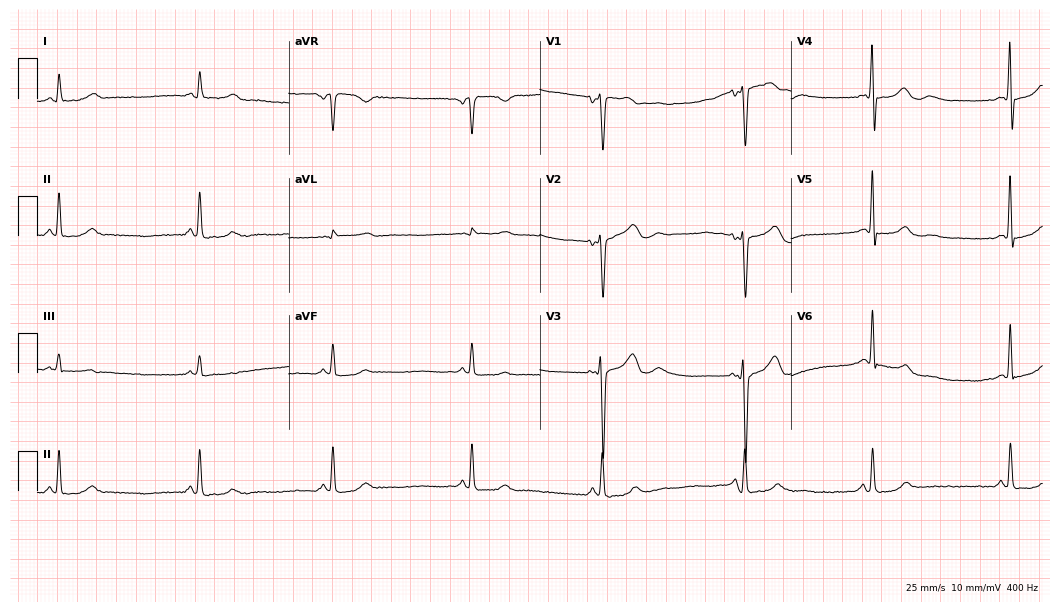
Resting 12-lead electrocardiogram. Patient: a 68-year-old woman. None of these six findings is recorded: first-degree AV block, right bundle branch block (RBBB), left bundle branch block (LBBB), sinus bradycardia, atrial fibrillation (AF), sinus tachycardia. Other findings, if any, are not listed.